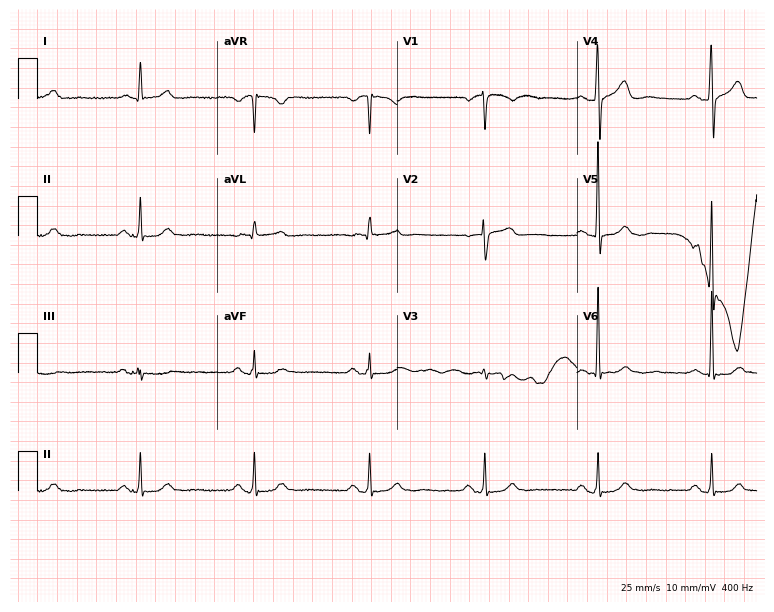
Standard 12-lead ECG recorded from a male patient, 62 years old. Read as a normal ECG.